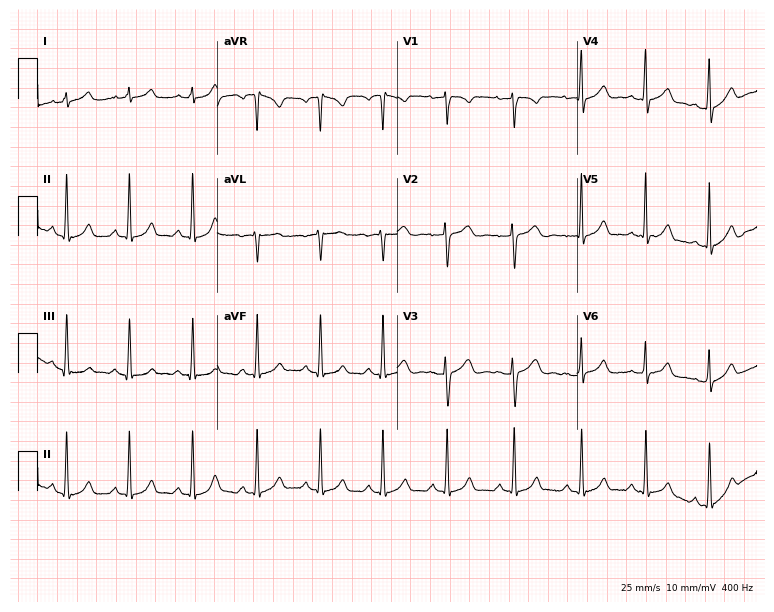
12-lead ECG from a 31-year-old female patient (7.3-second recording at 400 Hz). Recorded interpretation: within normal limits.